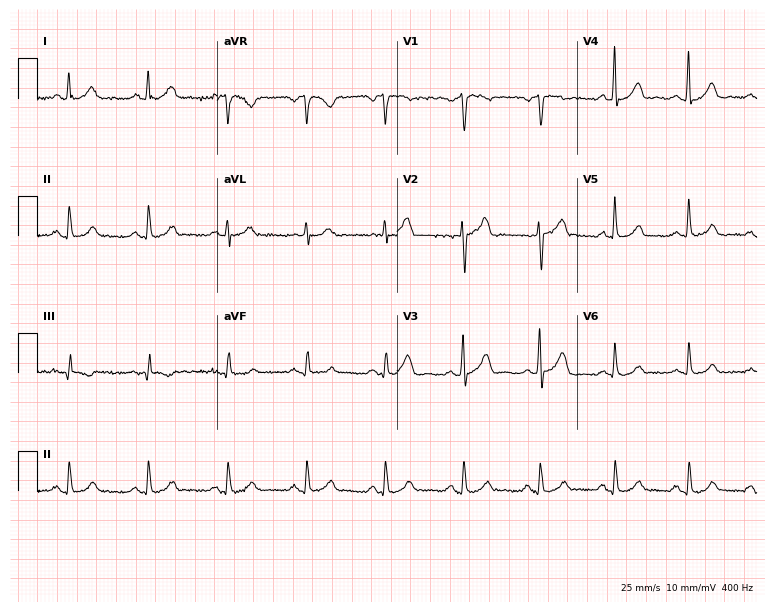
Electrocardiogram (7.3-second recording at 400 Hz), a man, 38 years old. Overall reading on record: normal ECG.